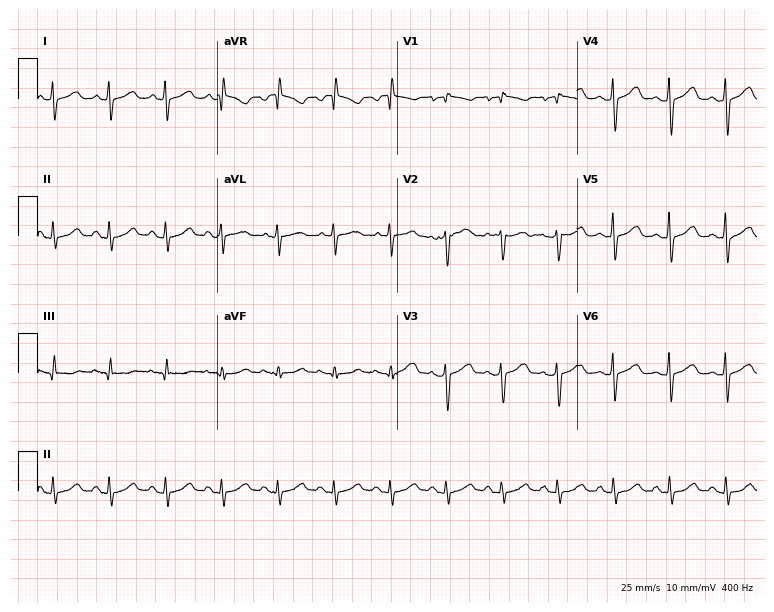
12-lead ECG from a 55-year-old female. No first-degree AV block, right bundle branch block (RBBB), left bundle branch block (LBBB), sinus bradycardia, atrial fibrillation (AF) or sinus tachycardia recorded for this tracing. Other findings, if any, are not listed.